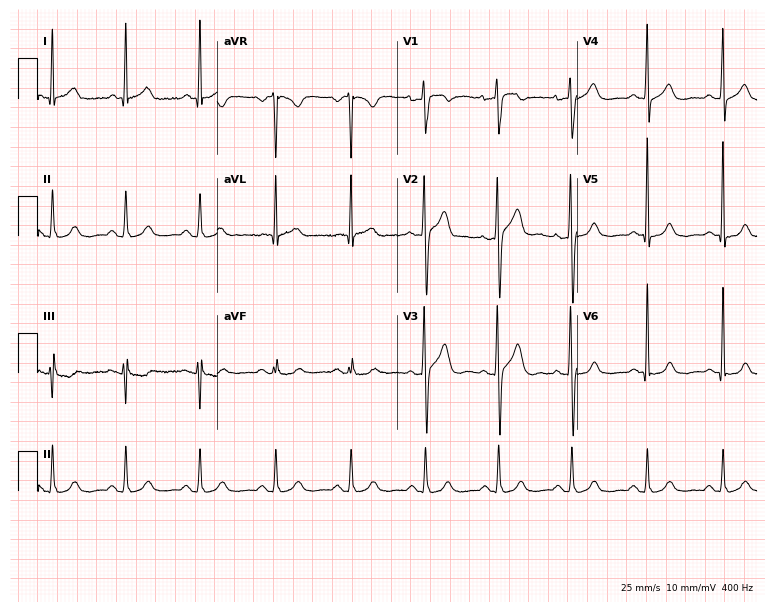
Standard 12-lead ECG recorded from a man, 68 years old. None of these six findings is recorded: first-degree AV block, right bundle branch block, left bundle branch block, sinus bradycardia, atrial fibrillation, sinus tachycardia. Only these six findings were labelled.